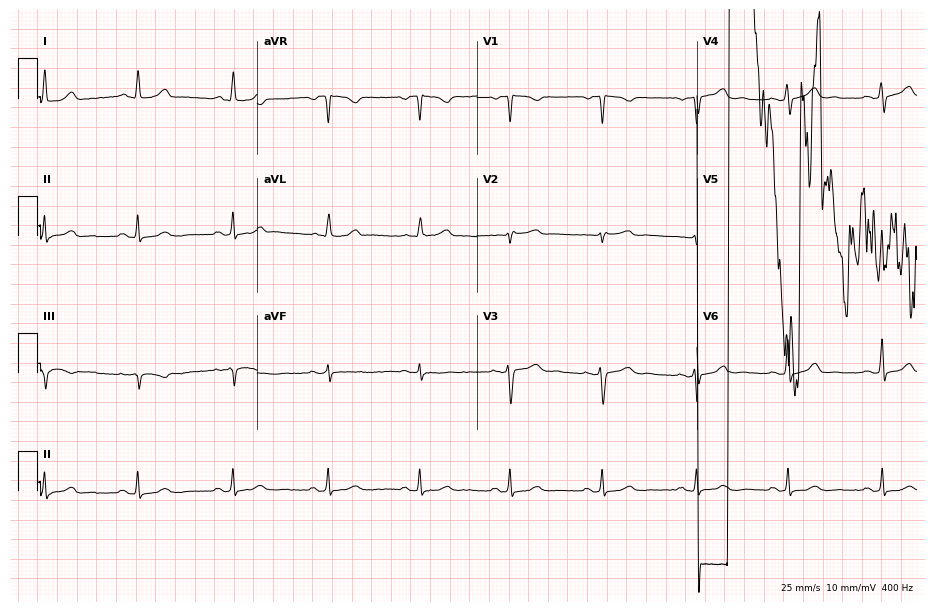
12-lead ECG from a 42-year-old female patient. Screened for six findings — first-degree AV block, right bundle branch block, left bundle branch block, sinus bradycardia, atrial fibrillation, sinus tachycardia — none is recorded.